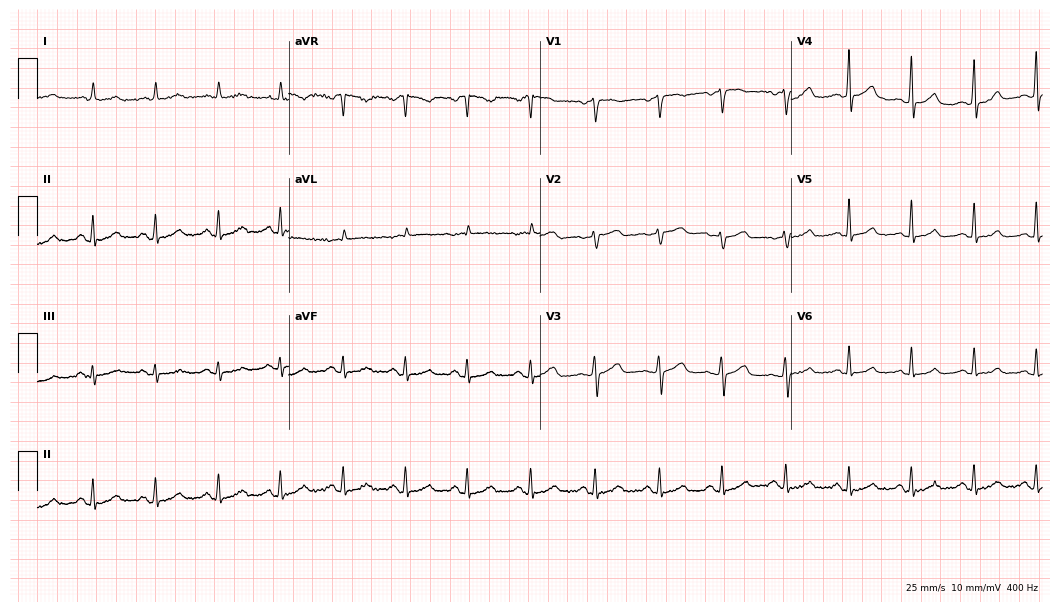
12-lead ECG from a 55-year-old woman (10.2-second recording at 400 Hz). Recorded interpretation: within normal limits.